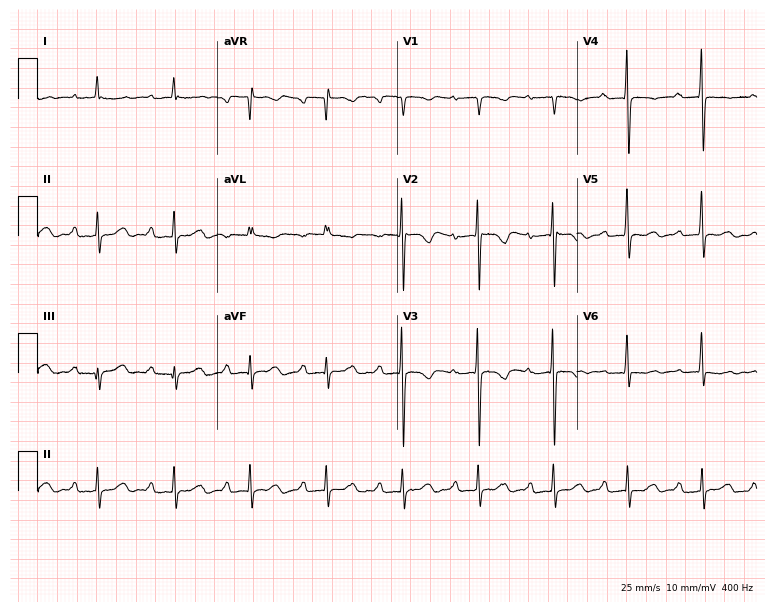
Standard 12-lead ECG recorded from a 68-year-old woman (7.3-second recording at 400 Hz). The tracing shows first-degree AV block.